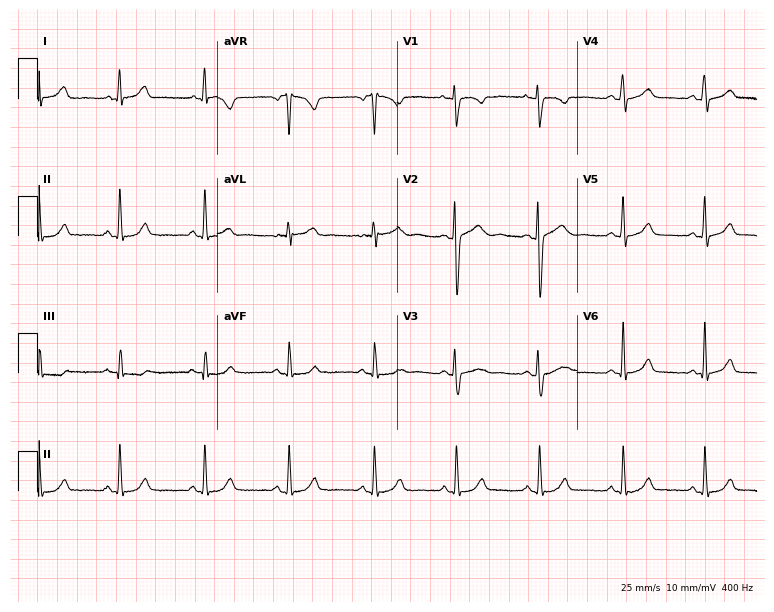
Resting 12-lead electrocardiogram. Patient: a 29-year-old female. Read as a normal ECG.